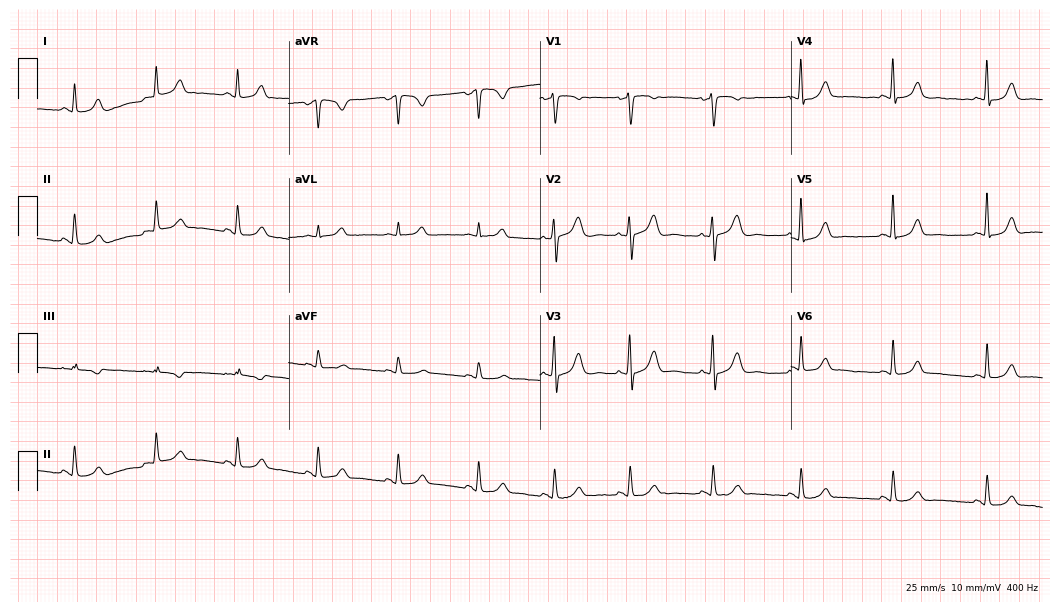
Resting 12-lead electrocardiogram. Patient: a woman, 48 years old. None of these six findings is recorded: first-degree AV block, right bundle branch block (RBBB), left bundle branch block (LBBB), sinus bradycardia, atrial fibrillation (AF), sinus tachycardia.